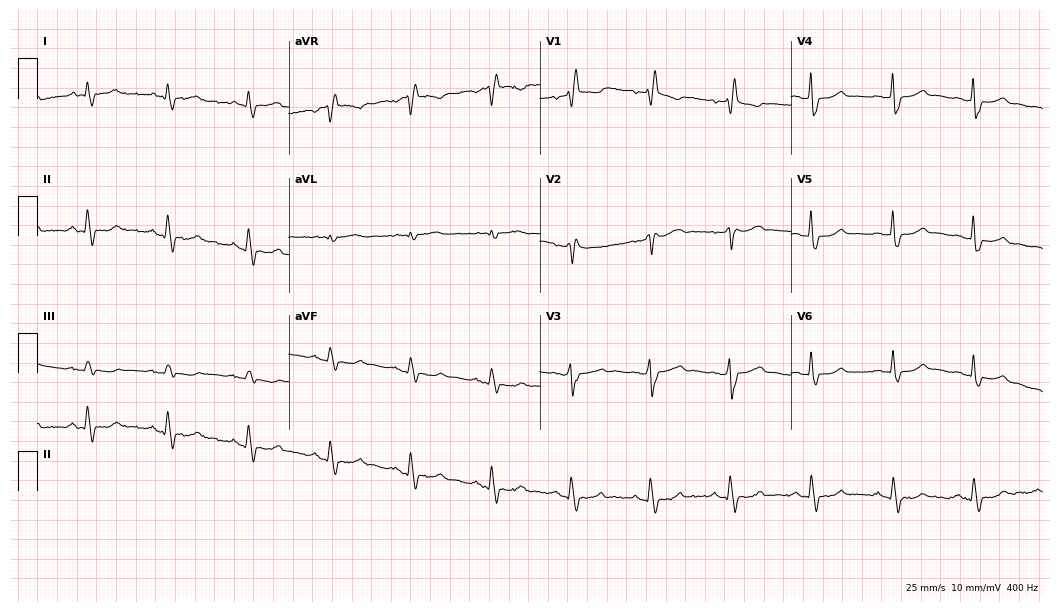
Electrocardiogram, a 55-year-old woman. Interpretation includes right bundle branch block.